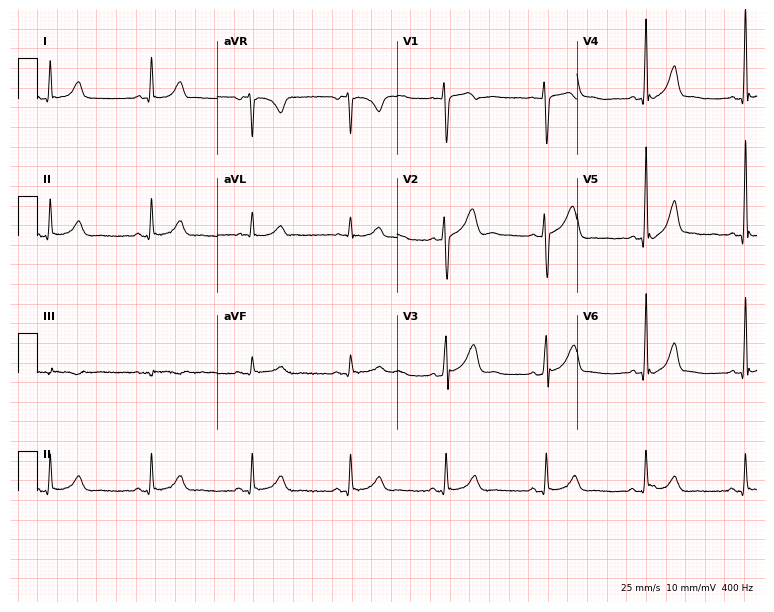
12-lead ECG from a 31-year-old man (7.3-second recording at 400 Hz). Recorded interpretation: within normal limits.